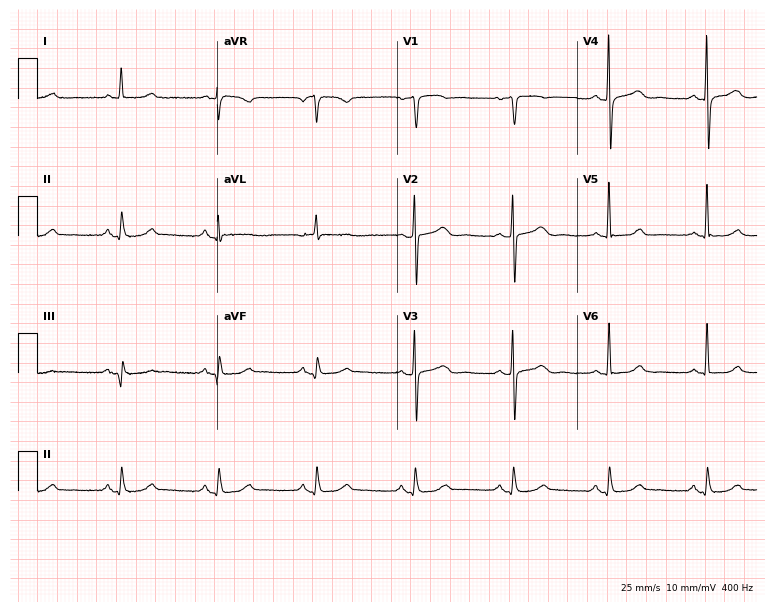
12-lead ECG from a female, 74 years old (7.3-second recording at 400 Hz). Recorded interpretation: within normal limits.